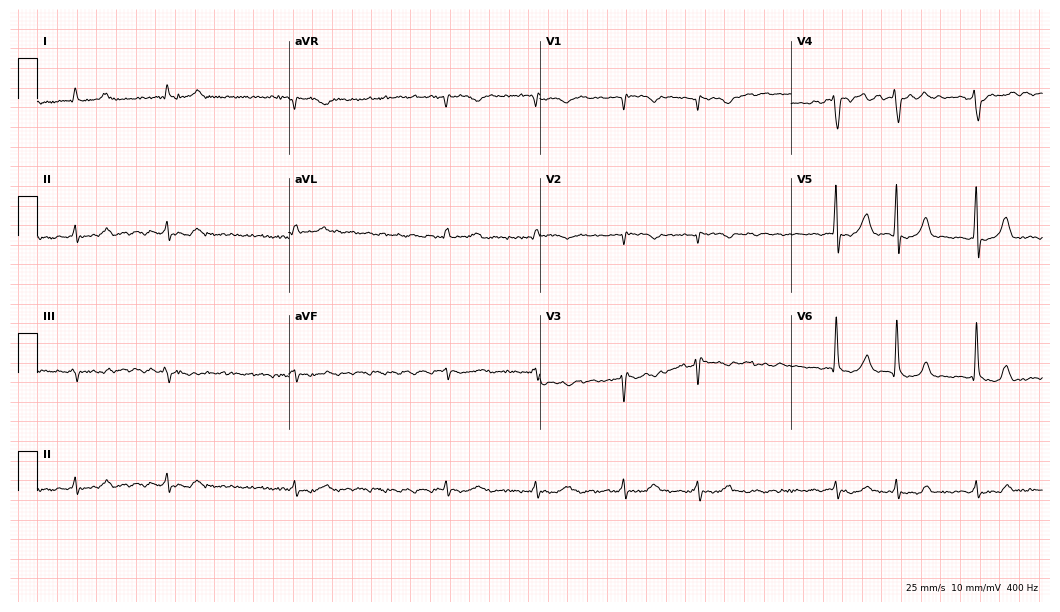
ECG — a male patient, 71 years old. Screened for six findings — first-degree AV block, right bundle branch block (RBBB), left bundle branch block (LBBB), sinus bradycardia, atrial fibrillation (AF), sinus tachycardia — none is recorded. Findings outside these six are not listed.